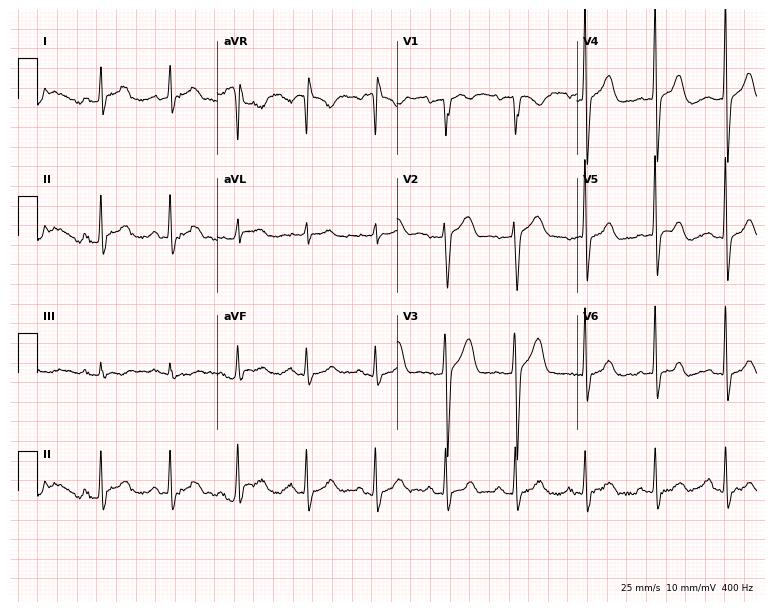
Resting 12-lead electrocardiogram (7.3-second recording at 400 Hz). Patient: a 57-year-old man. None of these six findings is recorded: first-degree AV block, right bundle branch block, left bundle branch block, sinus bradycardia, atrial fibrillation, sinus tachycardia.